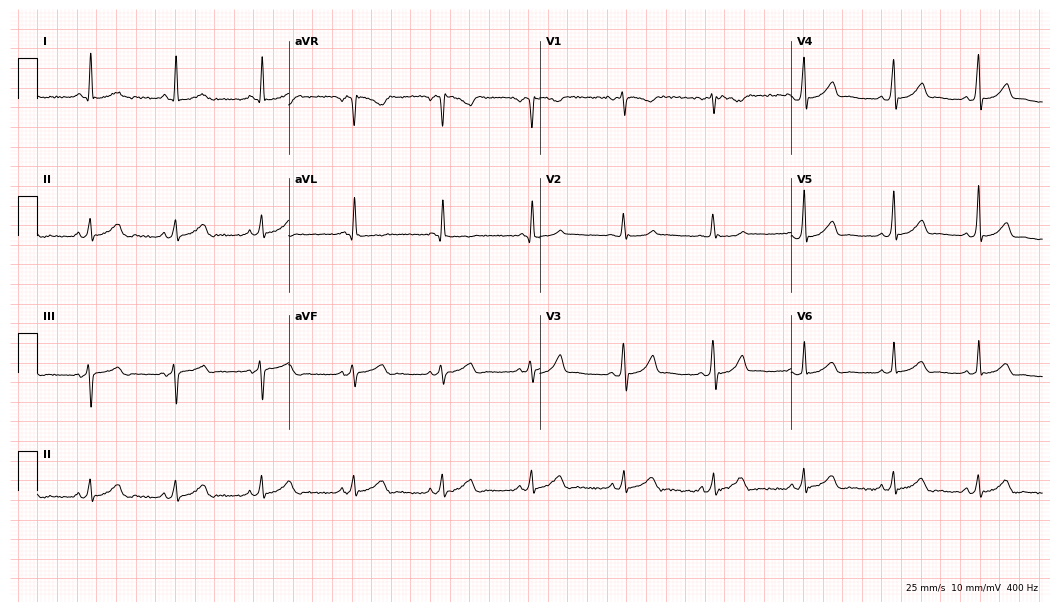
12-lead ECG from a 36-year-old female. Recorded interpretation: within normal limits.